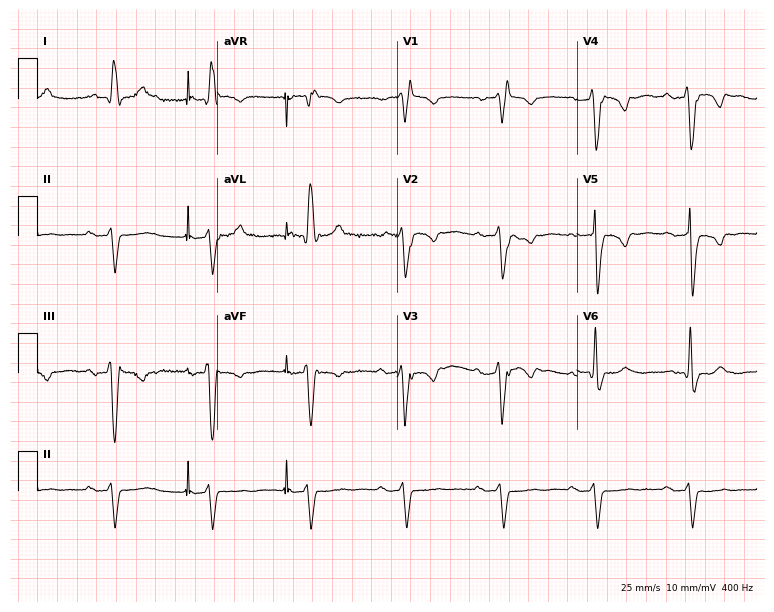
12-lead ECG from a male patient, 85 years old (7.3-second recording at 400 Hz). Shows atrial fibrillation (AF).